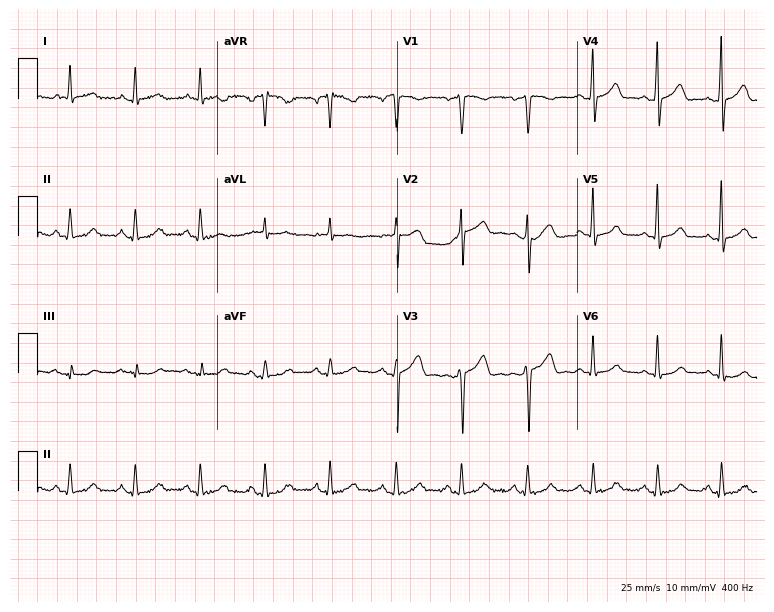
12-lead ECG (7.3-second recording at 400 Hz) from a man, 61 years old. Labelled as a normal ECG.